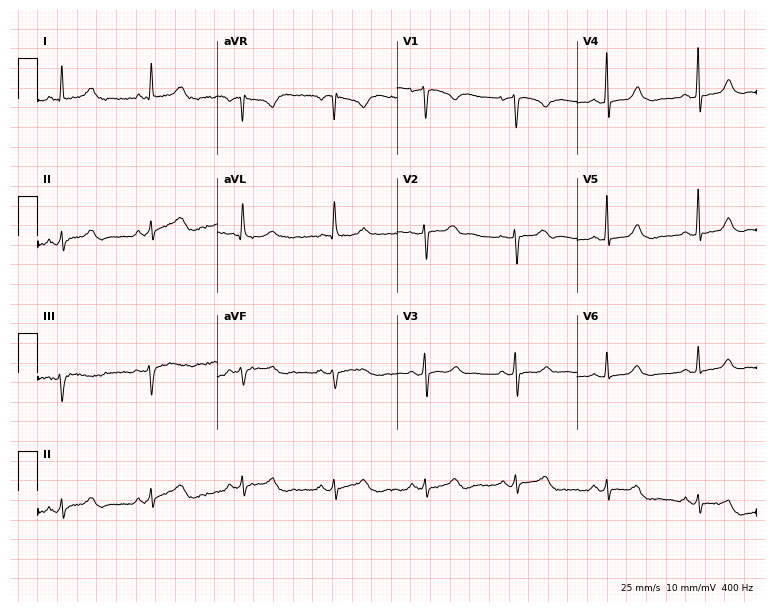
12-lead ECG from a woman, 57 years old. Screened for six findings — first-degree AV block, right bundle branch block, left bundle branch block, sinus bradycardia, atrial fibrillation, sinus tachycardia — none is recorded. Only these six findings were labelled.